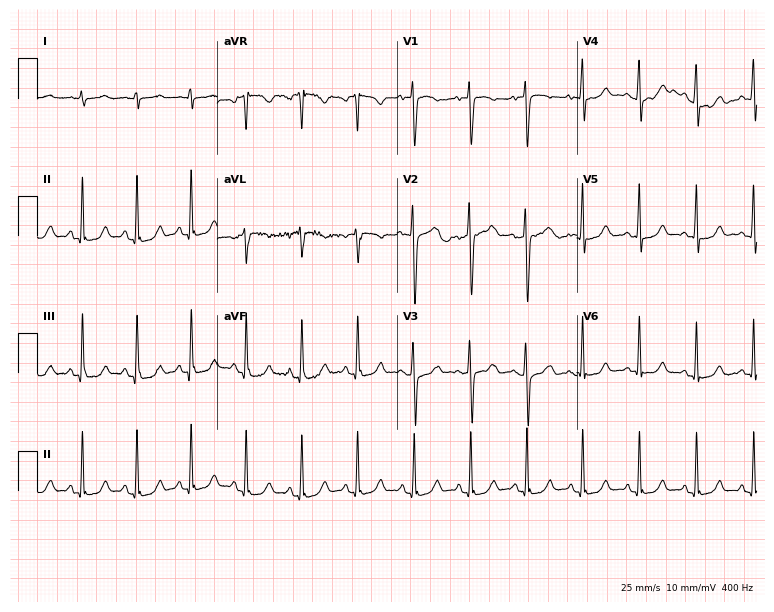
Standard 12-lead ECG recorded from a female, 21 years old (7.3-second recording at 400 Hz). The tracing shows sinus tachycardia (a sinus rate of 100 beats per minute or more).